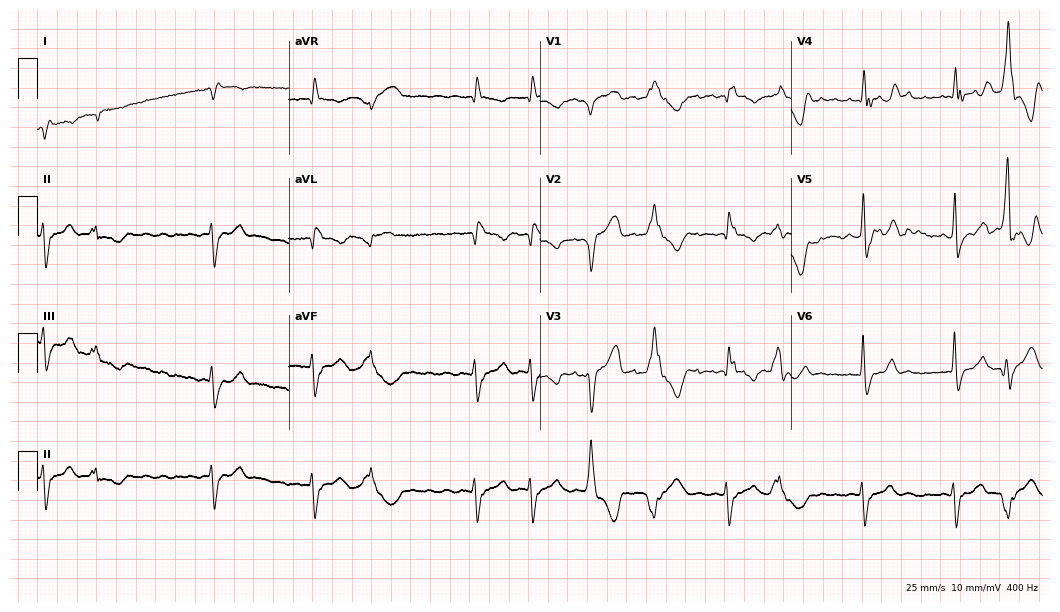
Resting 12-lead electrocardiogram (10.2-second recording at 400 Hz). Patient: a female, 73 years old. None of these six findings is recorded: first-degree AV block, right bundle branch block, left bundle branch block, sinus bradycardia, atrial fibrillation, sinus tachycardia. Findings outside these six are not listed.